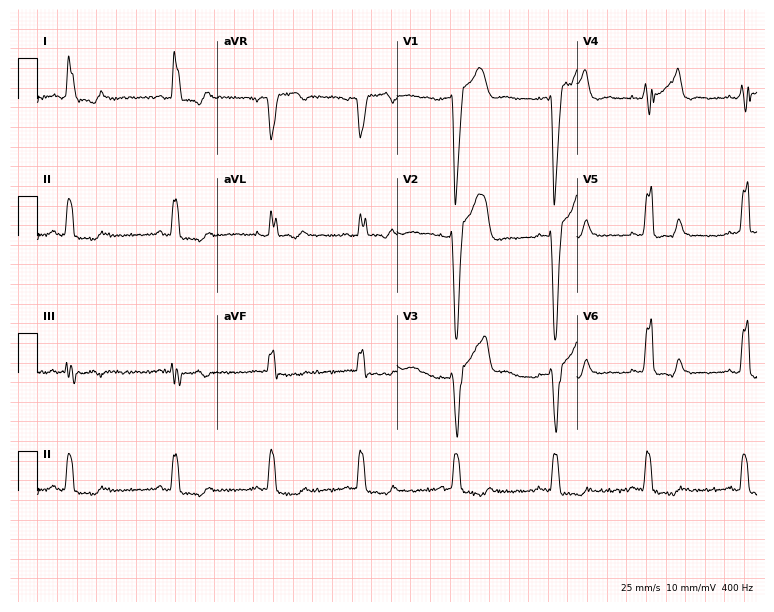
12-lead ECG from a 42-year-old woman. Shows left bundle branch block (LBBB).